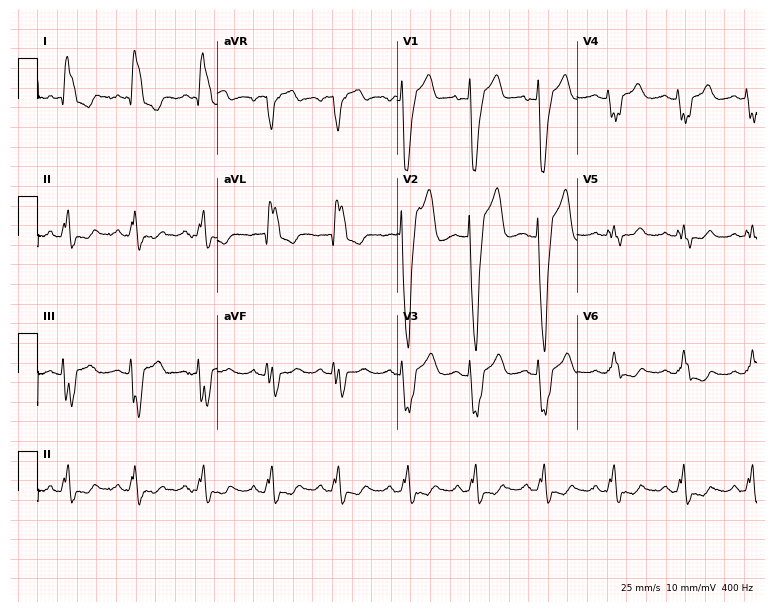
Resting 12-lead electrocardiogram. Patient: a 63-year-old female. The tracing shows left bundle branch block.